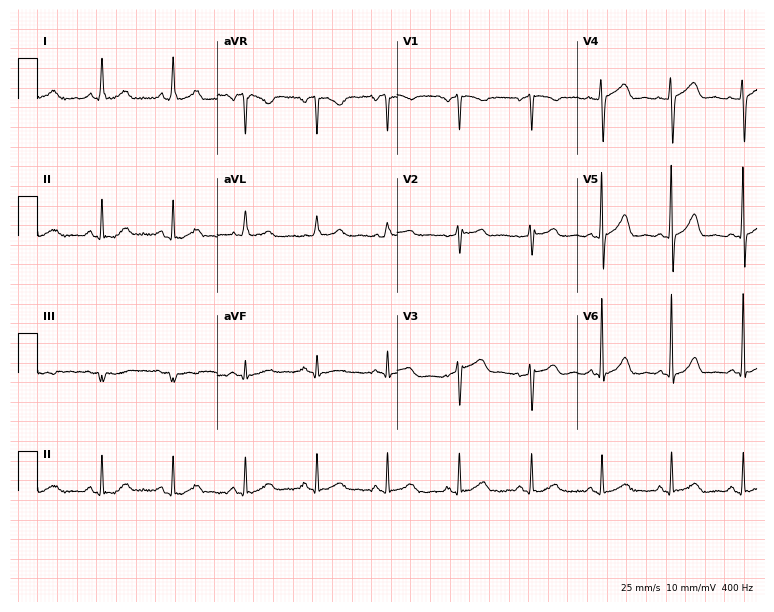
Resting 12-lead electrocardiogram. Patient: a female, 56 years old. Read as a normal ECG.